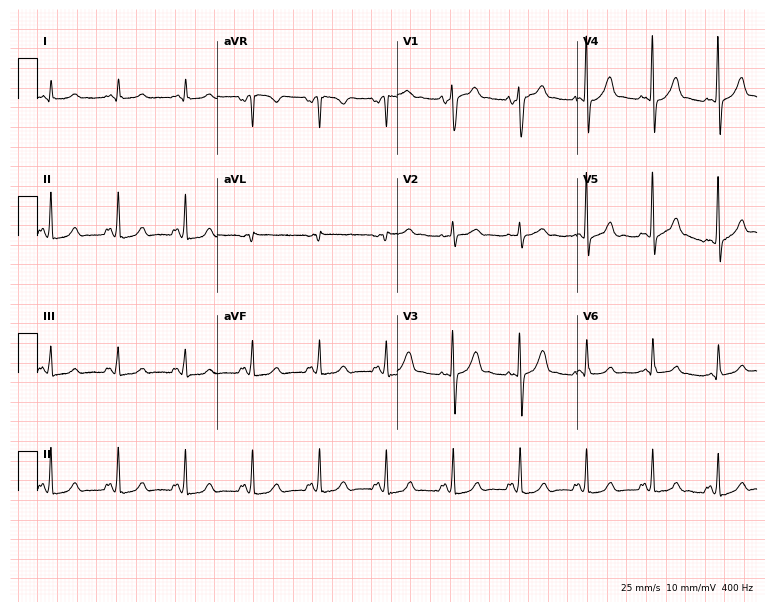
12-lead ECG from a male patient, 53 years old. Screened for six findings — first-degree AV block, right bundle branch block, left bundle branch block, sinus bradycardia, atrial fibrillation, sinus tachycardia — none is recorded. Other findings, if any, are not listed.